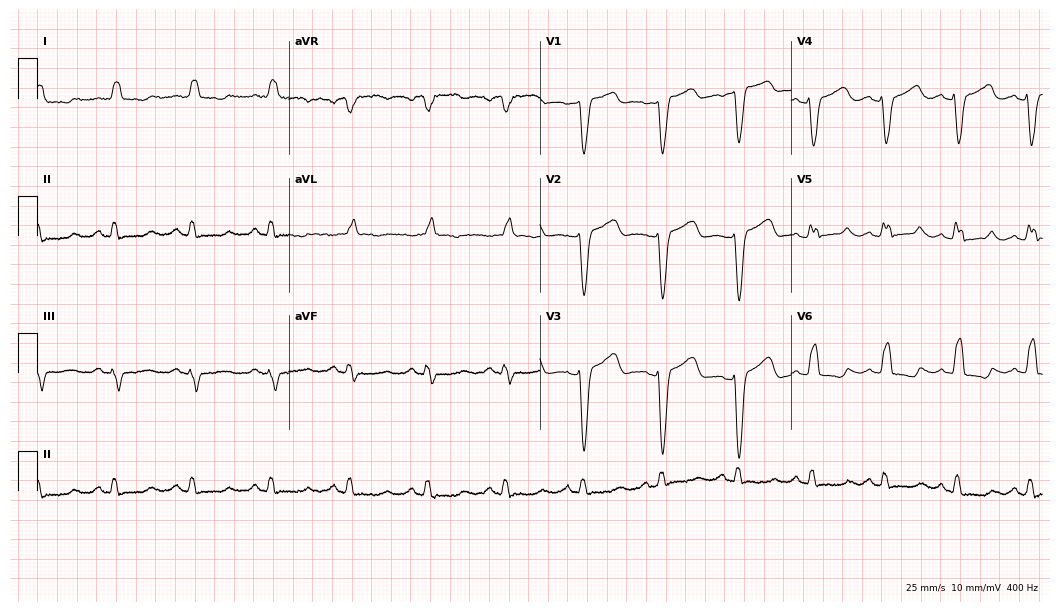
Resting 12-lead electrocardiogram. Patient: a woman, 67 years old. None of these six findings is recorded: first-degree AV block, right bundle branch block, left bundle branch block, sinus bradycardia, atrial fibrillation, sinus tachycardia.